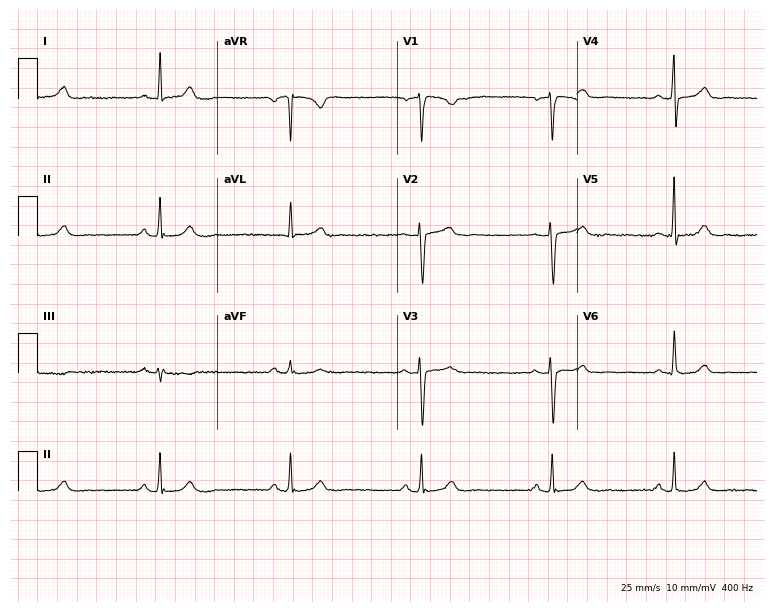
Standard 12-lead ECG recorded from a 50-year-old female (7.3-second recording at 400 Hz). The tracing shows sinus bradycardia (a sinus rate of 50 beats per minute or less).